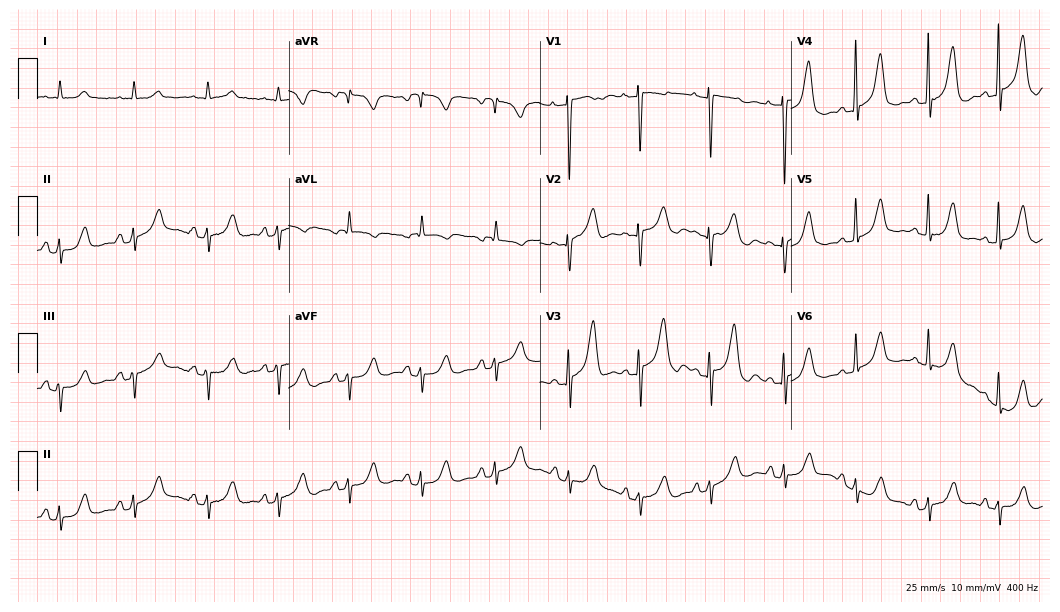
12-lead ECG from a 76-year-old woman (10.2-second recording at 400 Hz). No first-degree AV block, right bundle branch block, left bundle branch block, sinus bradycardia, atrial fibrillation or sinus tachycardia recorded for this tracing.